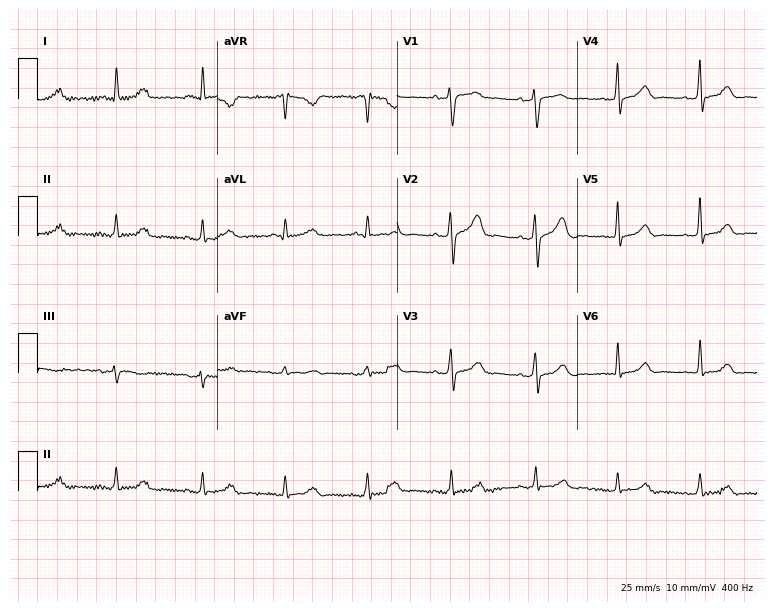
ECG — a female, 51 years old. Screened for six findings — first-degree AV block, right bundle branch block, left bundle branch block, sinus bradycardia, atrial fibrillation, sinus tachycardia — none is recorded.